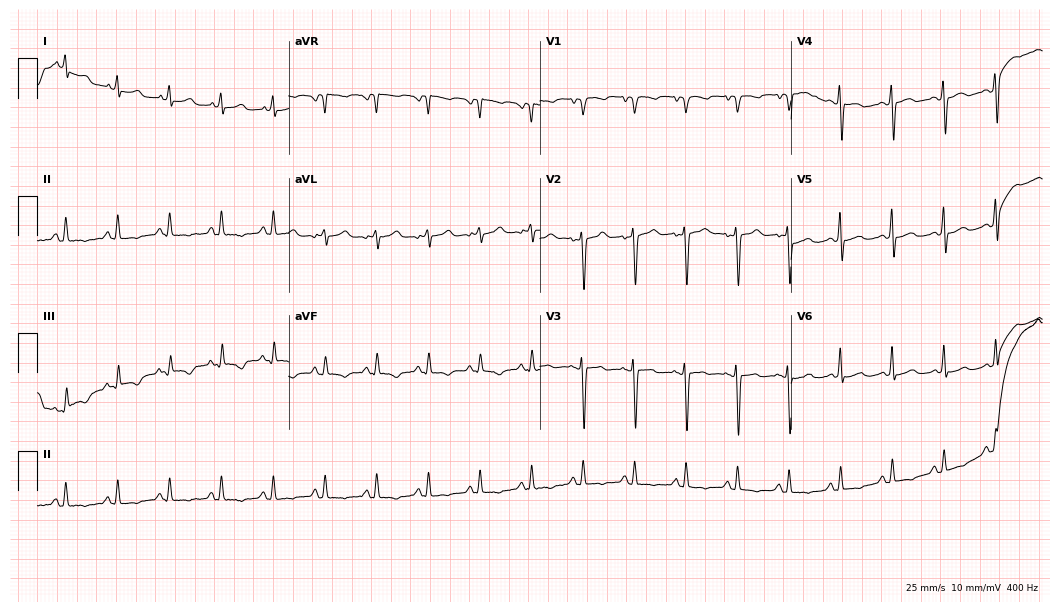
Standard 12-lead ECG recorded from a 31-year-old male patient (10.2-second recording at 400 Hz). None of these six findings is recorded: first-degree AV block, right bundle branch block (RBBB), left bundle branch block (LBBB), sinus bradycardia, atrial fibrillation (AF), sinus tachycardia.